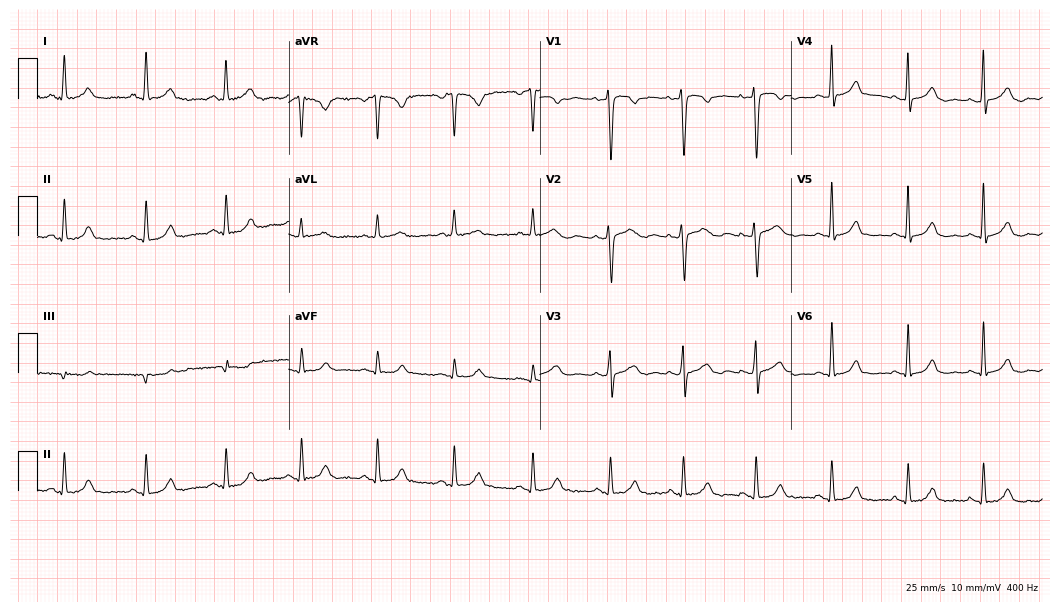
12-lead ECG from a 46-year-old woman (10.2-second recording at 400 Hz). No first-degree AV block, right bundle branch block (RBBB), left bundle branch block (LBBB), sinus bradycardia, atrial fibrillation (AF) or sinus tachycardia recorded for this tracing.